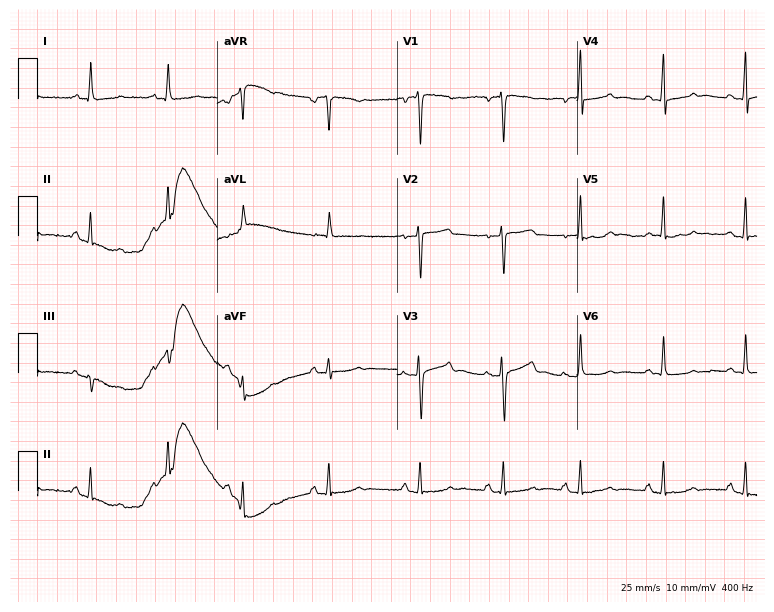
Resting 12-lead electrocardiogram. Patient: a 47-year-old female. None of these six findings is recorded: first-degree AV block, right bundle branch block, left bundle branch block, sinus bradycardia, atrial fibrillation, sinus tachycardia.